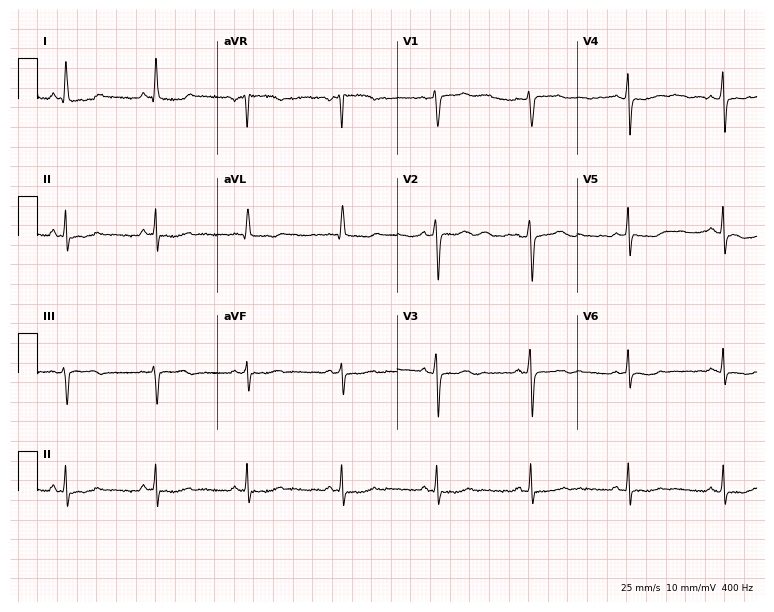
Resting 12-lead electrocardiogram. Patient: a 49-year-old male. None of these six findings is recorded: first-degree AV block, right bundle branch block, left bundle branch block, sinus bradycardia, atrial fibrillation, sinus tachycardia.